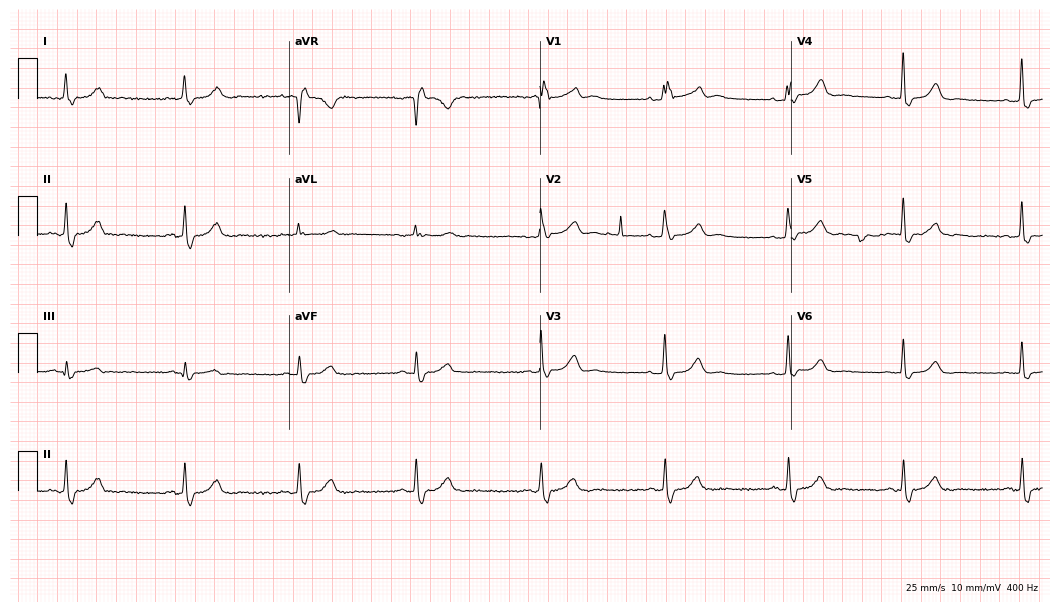
Resting 12-lead electrocardiogram (10.2-second recording at 400 Hz). Patient: a female, 60 years old. None of these six findings is recorded: first-degree AV block, right bundle branch block (RBBB), left bundle branch block (LBBB), sinus bradycardia, atrial fibrillation (AF), sinus tachycardia. Findings outside these six are not listed.